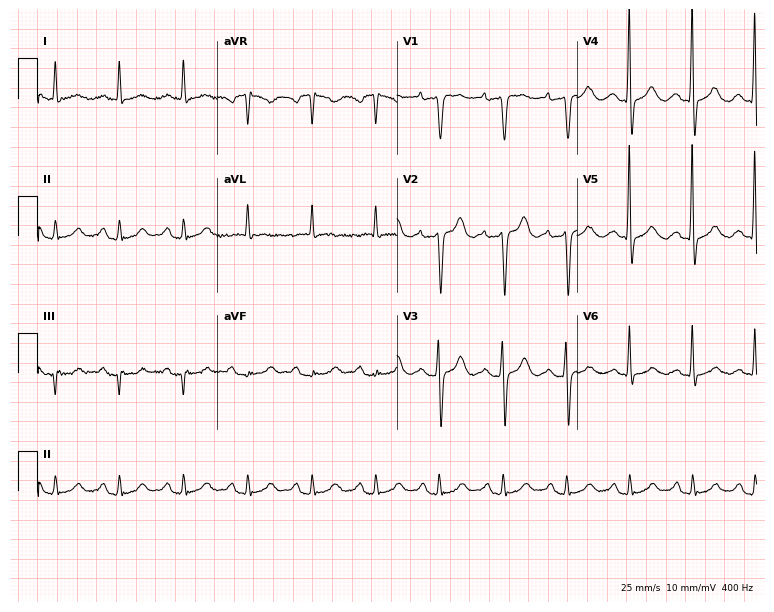
Resting 12-lead electrocardiogram. Patient: a female, 68 years old. None of these six findings is recorded: first-degree AV block, right bundle branch block, left bundle branch block, sinus bradycardia, atrial fibrillation, sinus tachycardia. Other findings, if any, are not listed.